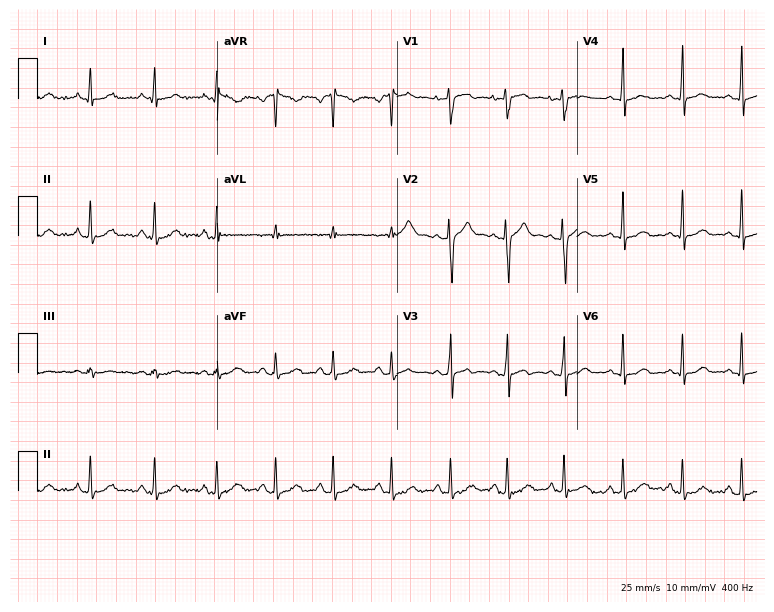
Standard 12-lead ECG recorded from a female patient, 23 years old. None of these six findings is recorded: first-degree AV block, right bundle branch block (RBBB), left bundle branch block (LBBB), sinus bradycardia, atrial fibrillation (AF), sinus tachycardia.